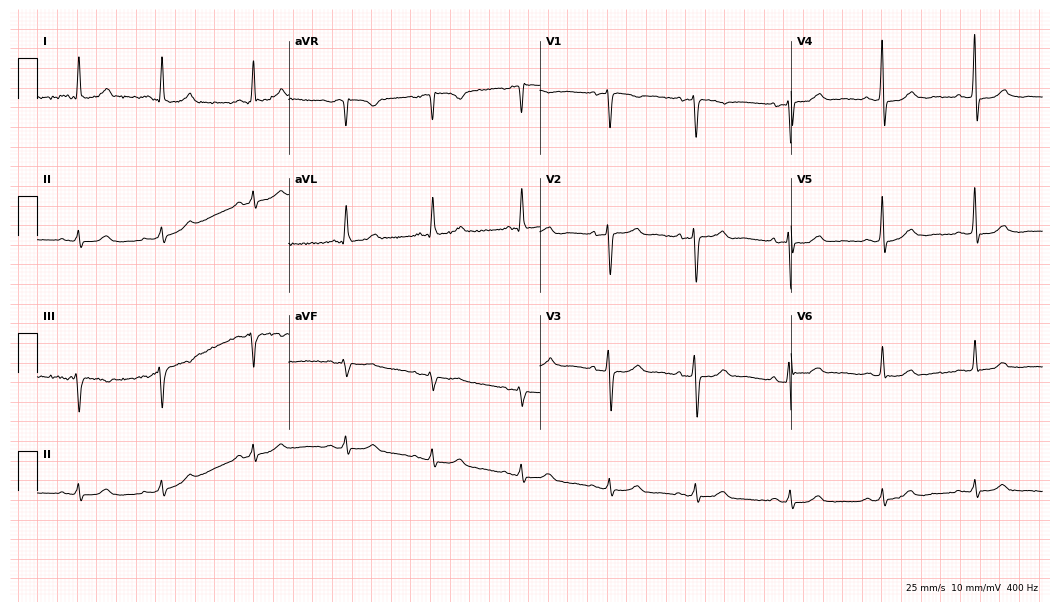
Resting 12-lead electrocardiogram. Patient: a 77-year-old female. Read as a normal ECG.